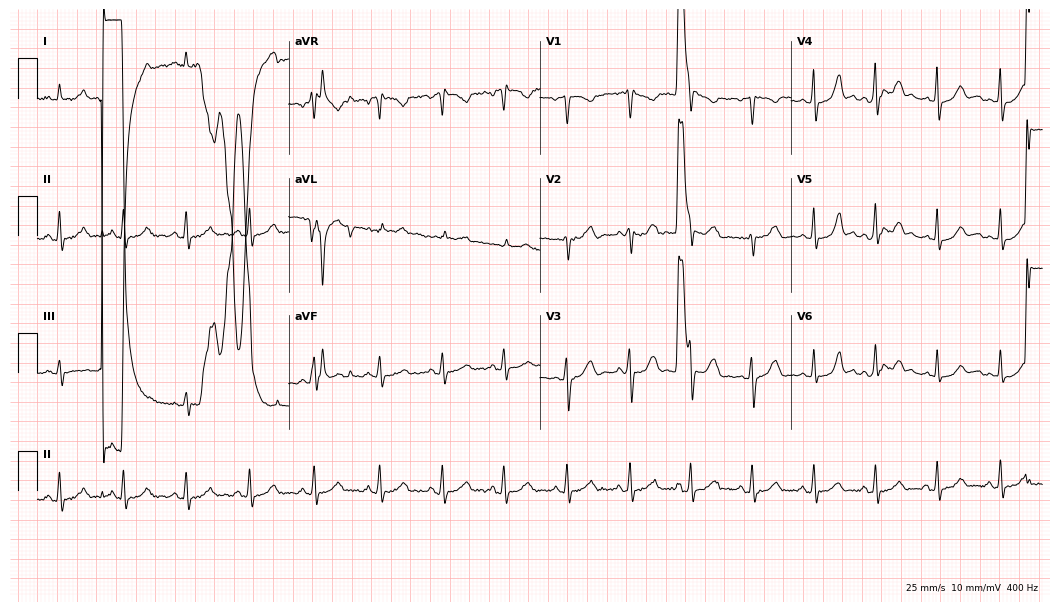
12-lead ECG from a female, 25 years old. Recorded interpretation: within normal limits.